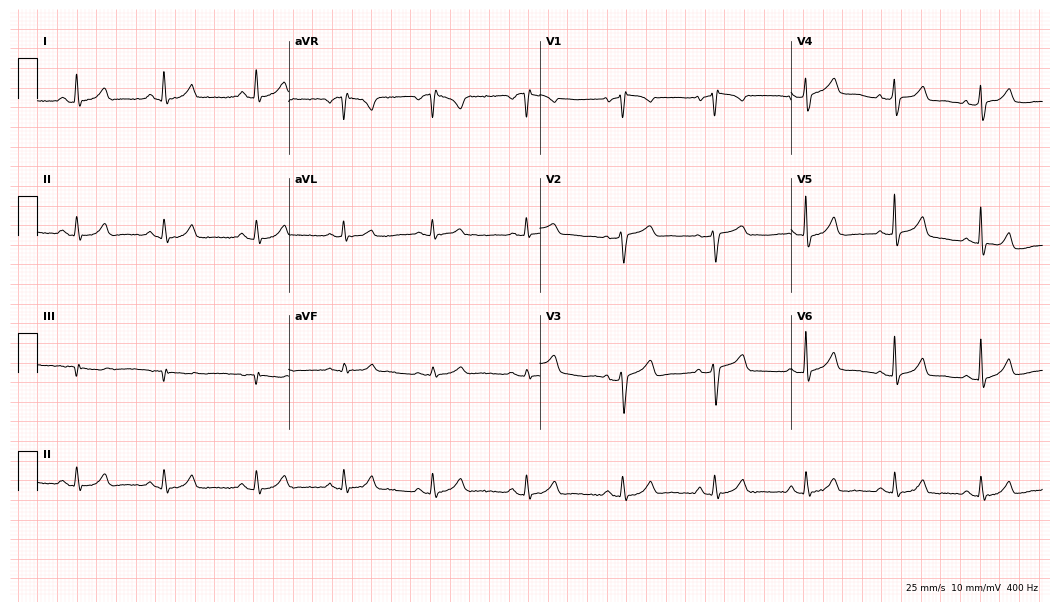
Electrocardiogram, a female, 69 years old. Of the six screened findings (first-degree AV block, right bundle branch block (RBBB), left bundle branch block (LBBB), sinus bradycardia, atrial fibrillation (AF), sinus tachycardia), none is recorded.